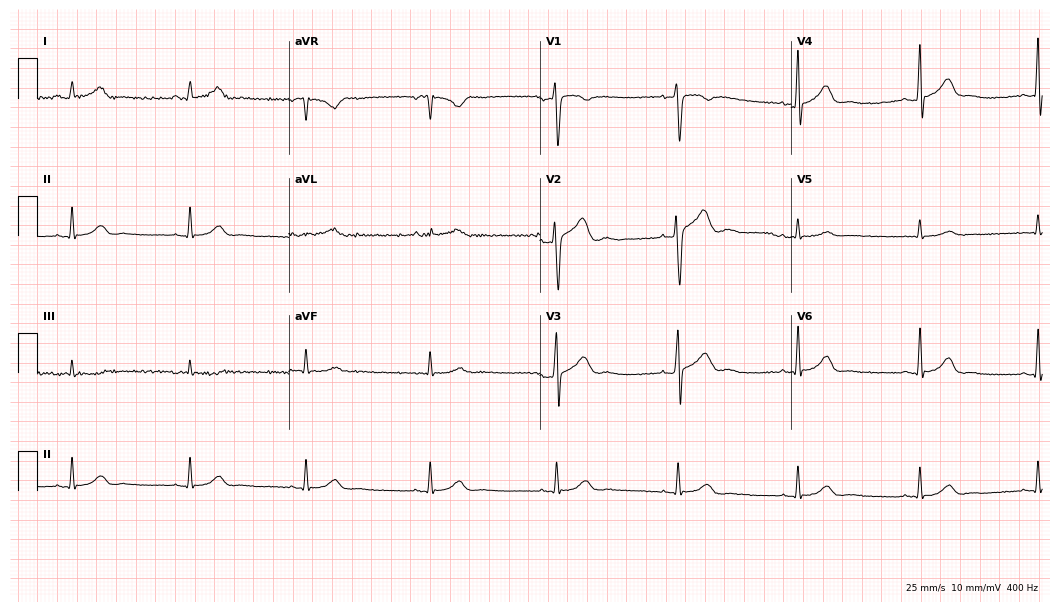
Electrocardiogram (10.2-second recording at 400 Hz), a 24-year-old male. Overall reading on record: normal ECG.